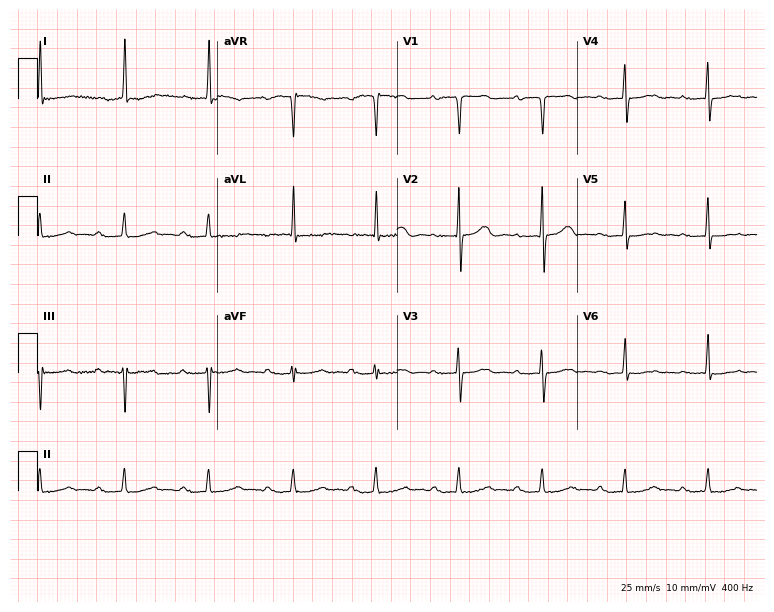
12-lead ECG (7.3-second recording at 400 Hz) from a female patient, 78 years old. Screened for six findings — first-degree AV block, right bundle branch block, left bundle branch block, sinus bradycardia, atrial fibrillation, sinus tachycardia — none is recorded.